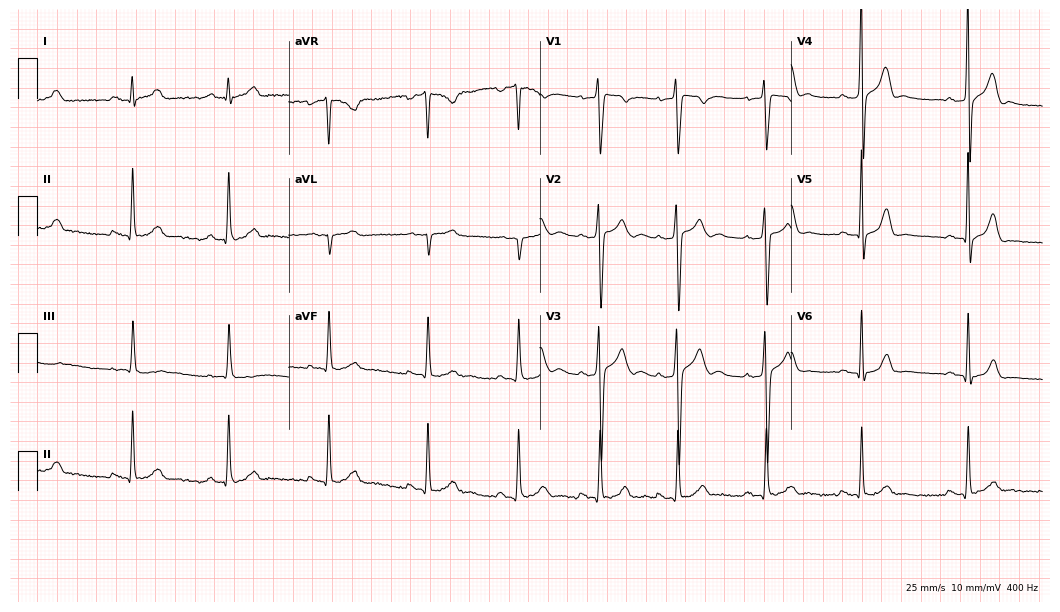
Resting 12-lead electrocardiogram (10.2-second recording at 400 Hz). Patient: a male, 22 years old. None of these six findings is recorded: first-degree AV block, right bundle branch block, left bundle branch block, sinus bradycardia, atrial fibrillation, sinus tachycardia.